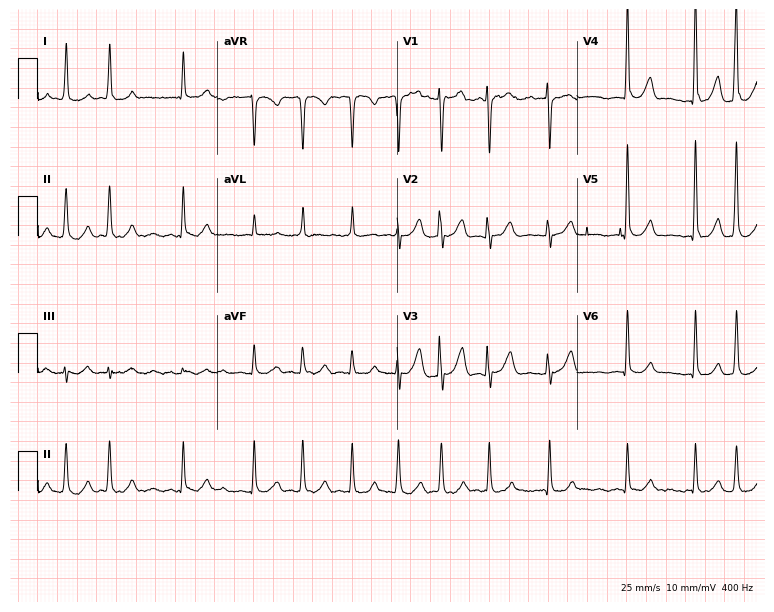
Electrocardiogram, an 82-year-old female patient. Of the six screened findings (first-degree AV block, right bundle branch block, left bundle branch block, sinus bradycardia, atrial fibrillation, sinus tachycardia), none is recorded. Only these six findings were labelled.